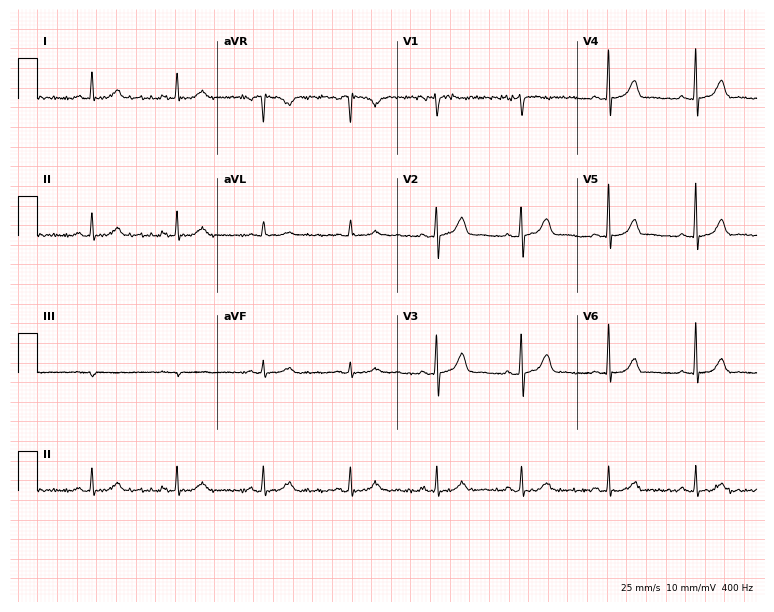
12-lead ECG from a female patient, 46 years old. Screened for six findings — first-degree AV block, right bundle branch block, left bundle branch block, sinus bradycardia, atrial fibrillation, sinus tachycardia — none is recorded. Only these six findings were labelled.